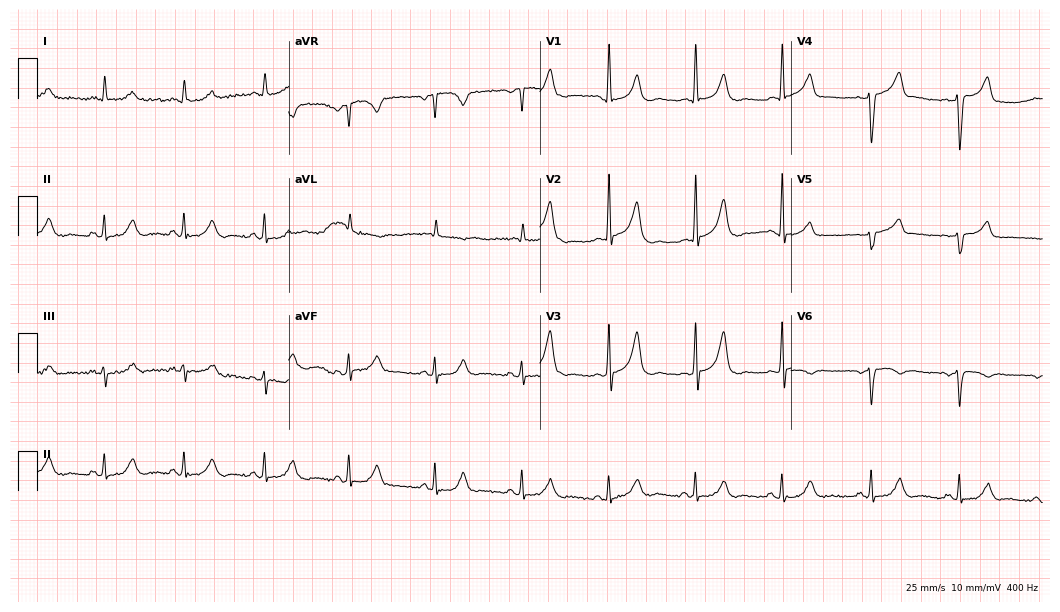
Standard 12-lead ECG recorded from a 76-year-old woman. None of these six findings is recorded: first-degree AV block, right bundle branch block (RBBB), left bundle branch block (LBBB), sinus bradycardia, atrial fibrillation (AF), sinus tachycardia. Findings outside these six are not listed.